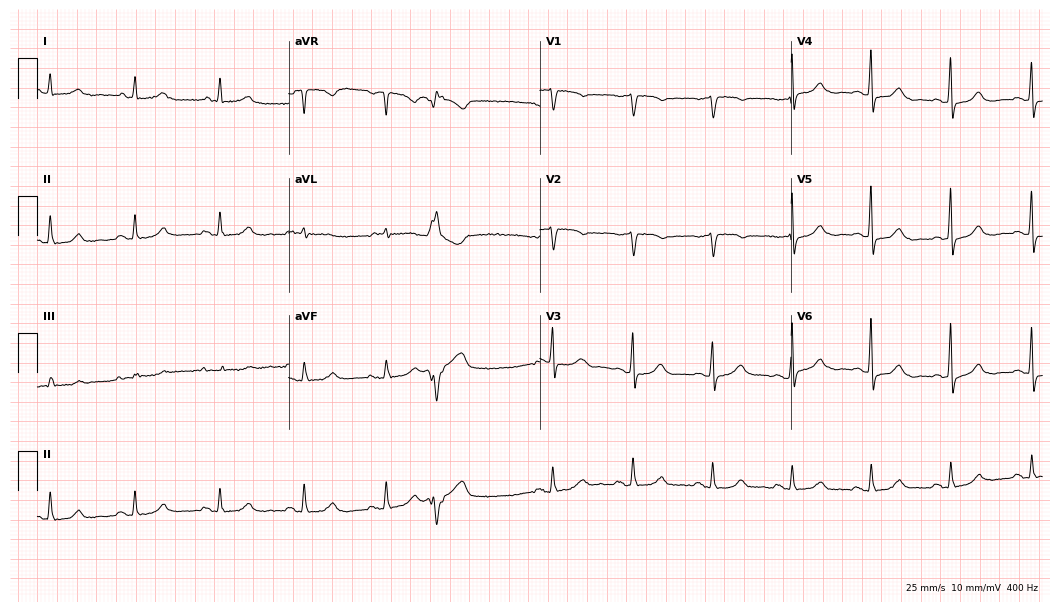
12-lead ECG from a woman, 83 years old (10.2-second recording at 400 Hz). Recorded interpretation: within normal limits.